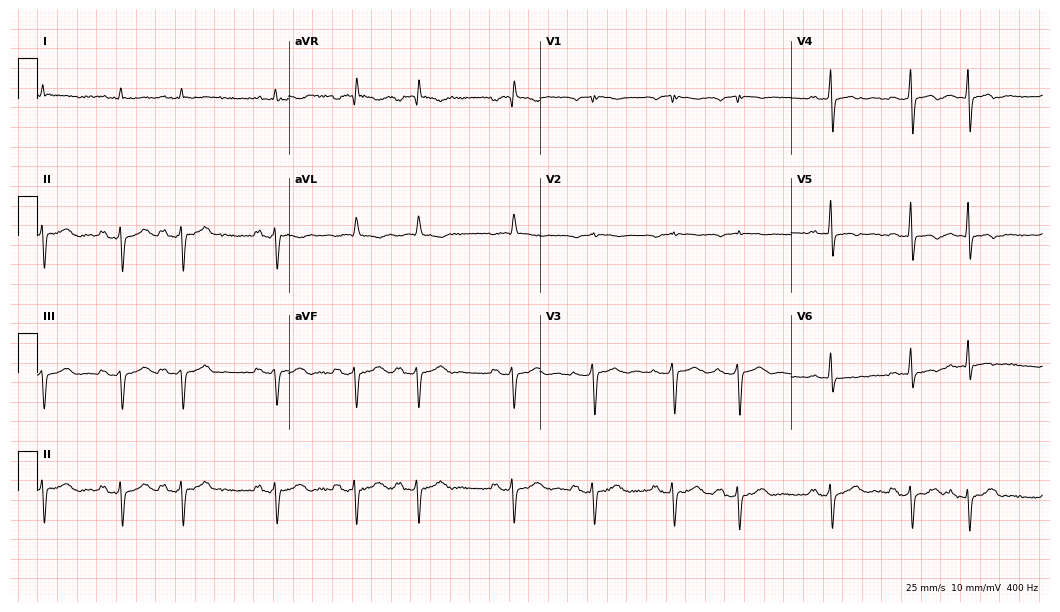
ECG (10.2-second recording at 400 Hz) — an 80-year-old male patient. Findings include first-degree AV block.